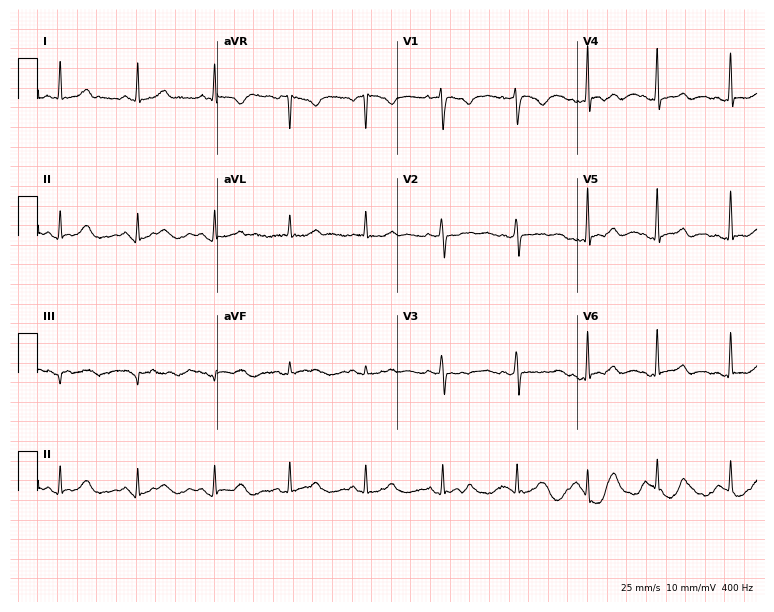
Resting 12-lead electrocardiogram (7.3-second recording at 400 Hz). Patient: a 32-year-old female. Read as a normal ECG.